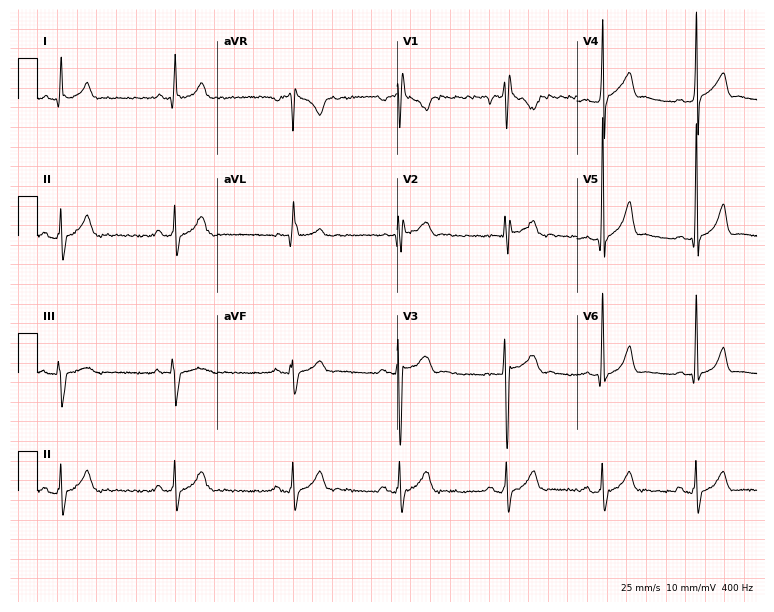
12-lead ECG from a 25-year-old male patient (7.3-second recording at 400 Hz). Recorded interpretation: within normal limits.